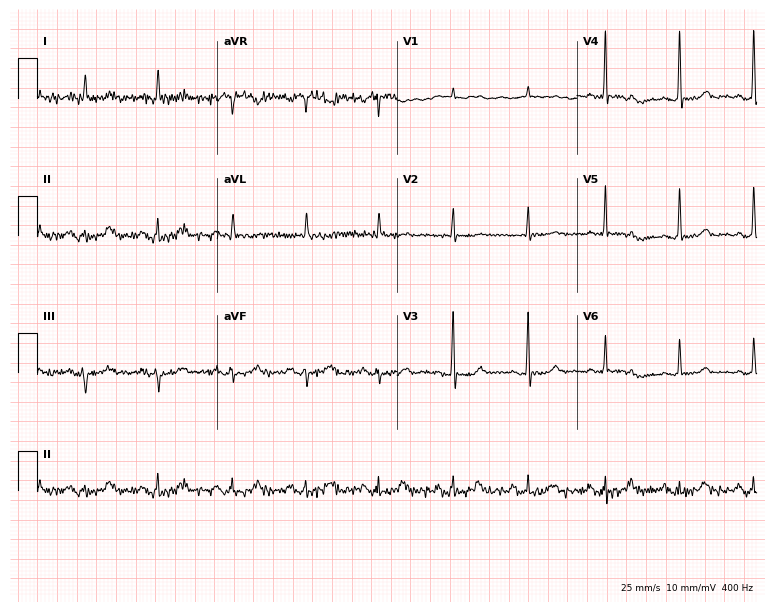
12-lead ECG from a female, 39 years old. Screened for six findings — first-degree AV block, right bundle branch block (RBBB), left bundle branch block (LBBB), sinus bradycardia, atrial fibrillation (AF), sinus tachycardia — none is recorded. Findings outside these six are not listed.